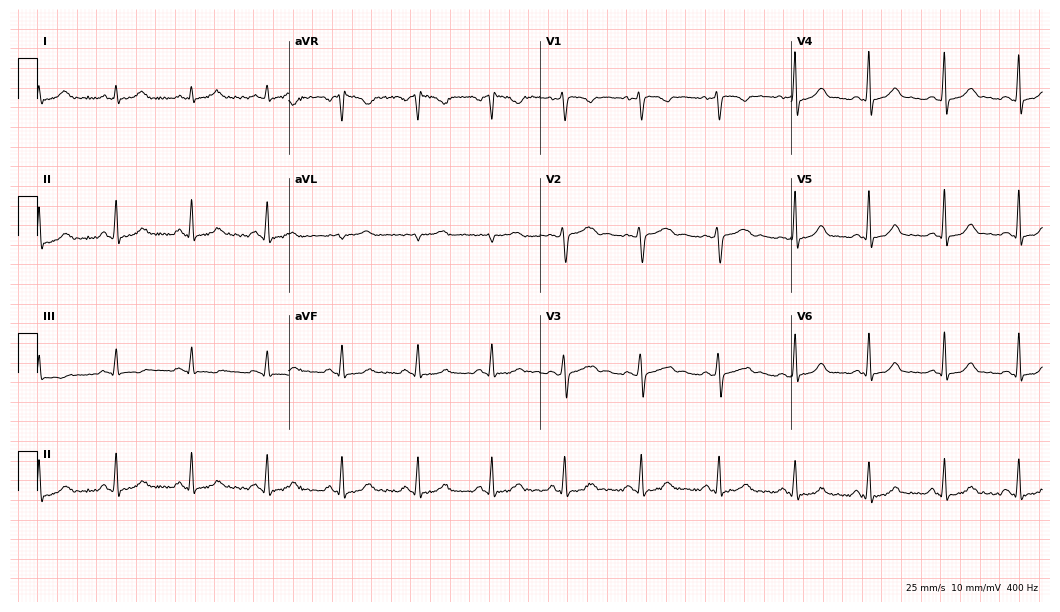
Resting 12-lead electrocardiogram (10.2-second recording at 400 Hz). Patient: a female, 49 years old. Read as a normal ECG.